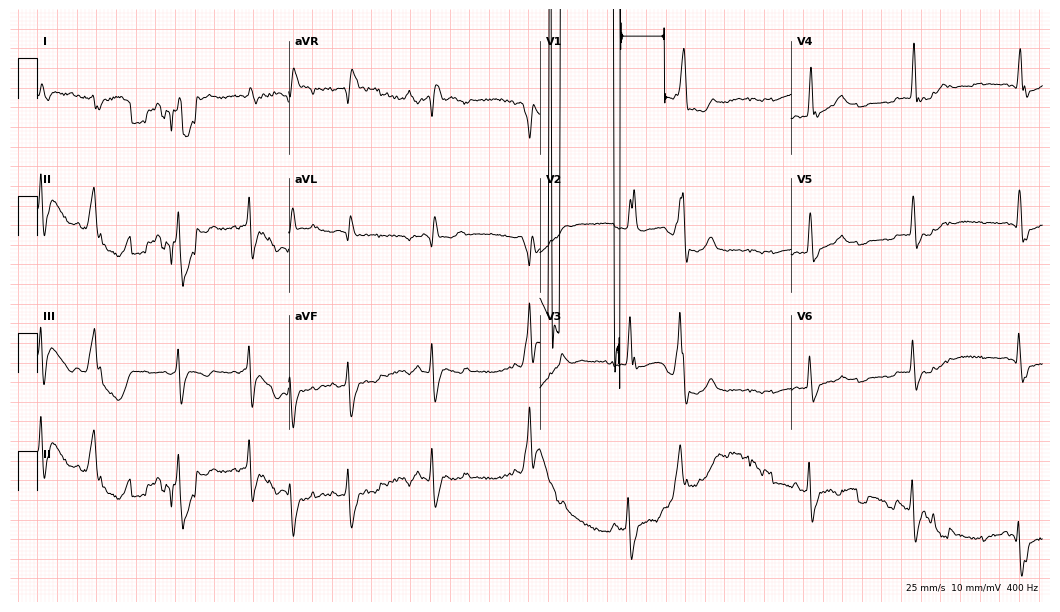
12-lead ECG from a male patient, 85 years old. Screened for six findings — first-degree AV block, right bundle branch block (RBBB), left bundle branch block (LBBB), sinus bradycardia, atrial fibrillation (AF), sinus tachycardia — none is recorded.